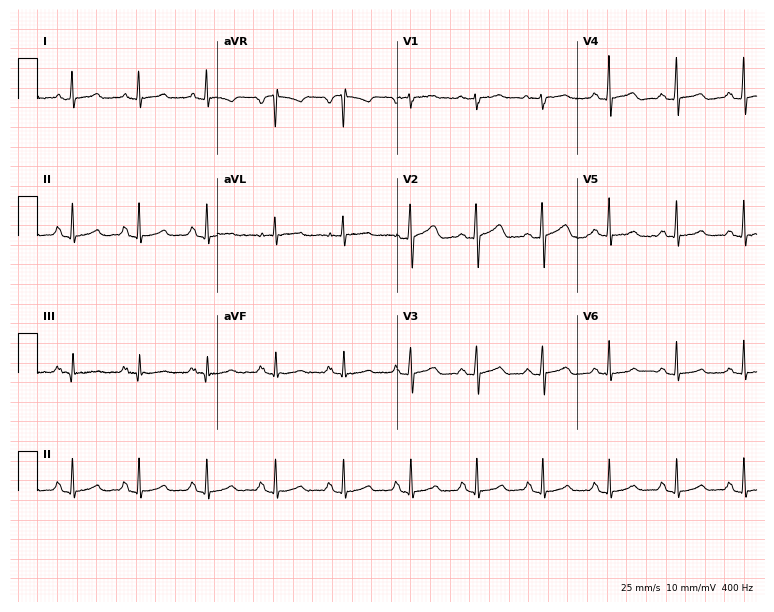
Electrocardiogram, a 64-year-old female. Of the six screened findings (first-degree AV block, right bundle branch block, left bundle branch block, sinus bradycardia, atrial fibrillation, sinus tachycardia), none is recorded. Only these six findings were labelled.